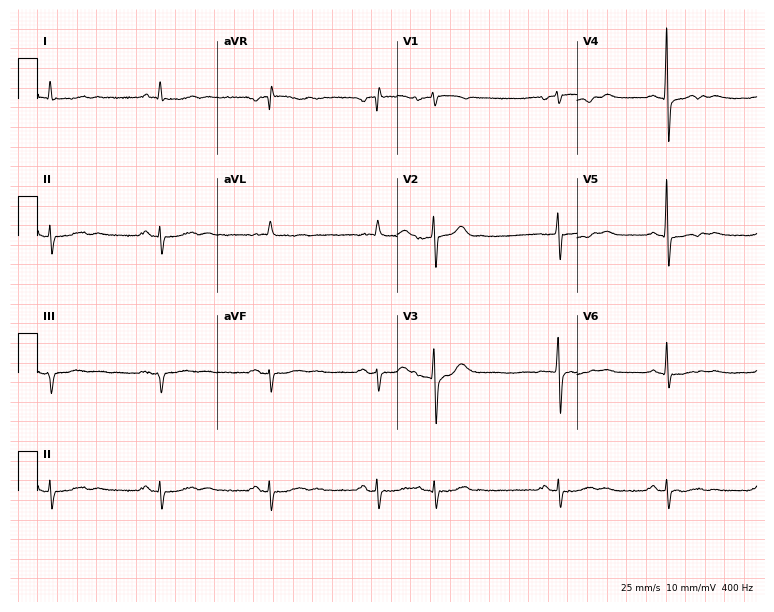
Standard 12-lead ECG recorded from an 81-year-old male patient. None of these six findings is recorded: first-degree AV block, right bundle branch block, left bundle branch block, sinus bradycardia, atrial fibrillation, sinus tachycardia.